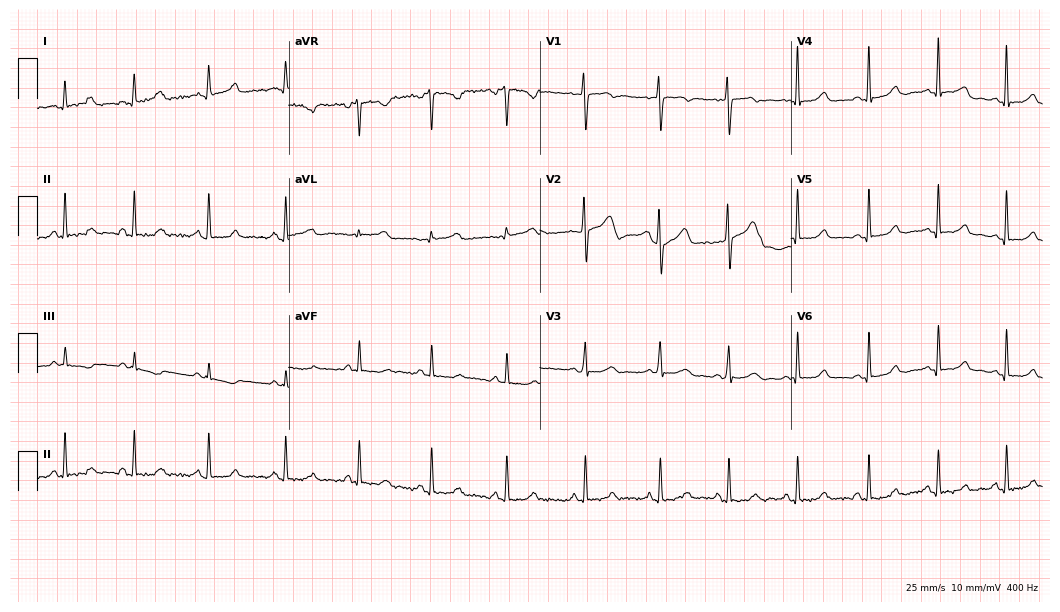
ECG (10.2-second recording at 400 Hz) — a 27-year-old female. Screened for six findings — first-degree AV block, right bundle branch block, left bundle branch block, sinus bradycardia, atrial fibrillation, sinus tachycardia — none is recorded.